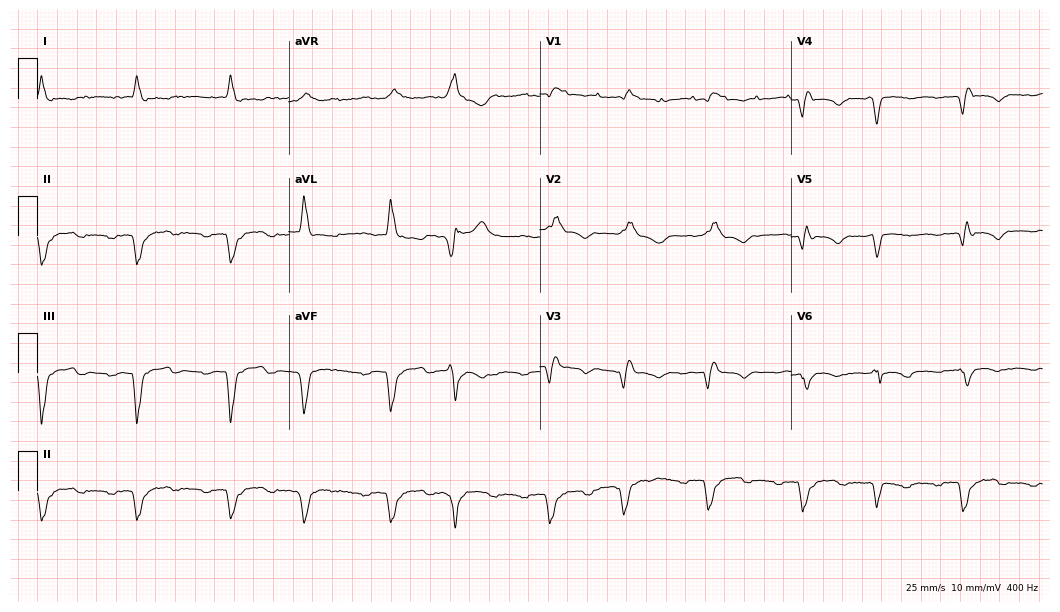
Resting 12-lead electrocardiogram. Patient: a 57-year-old male. None of these six findings is recorded: first-degree AV block, right bundle branch block, left bundle branch block, sinus bradycardia, atrial fibrillation, sinus tachycardia. Findings outside these six are not listed.